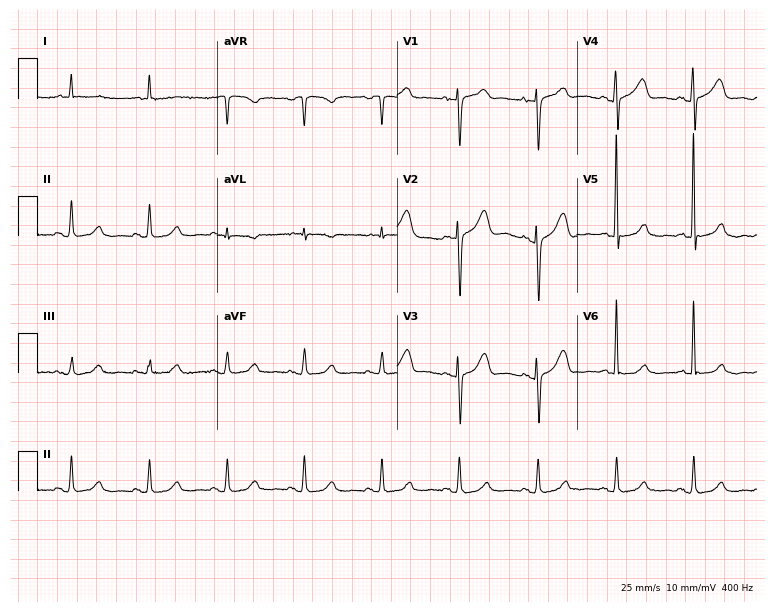
Standard 12-lead ECG recorded from an 85-year-old woman. None of these six findings is recorded: first-degree AV block, right bundle branch block (RBBB), left bundle branch block (LBBB), sinus bradycardia, atrial fibrillation (AF), sinus tachycardia. Other findings, if any, are not listed.